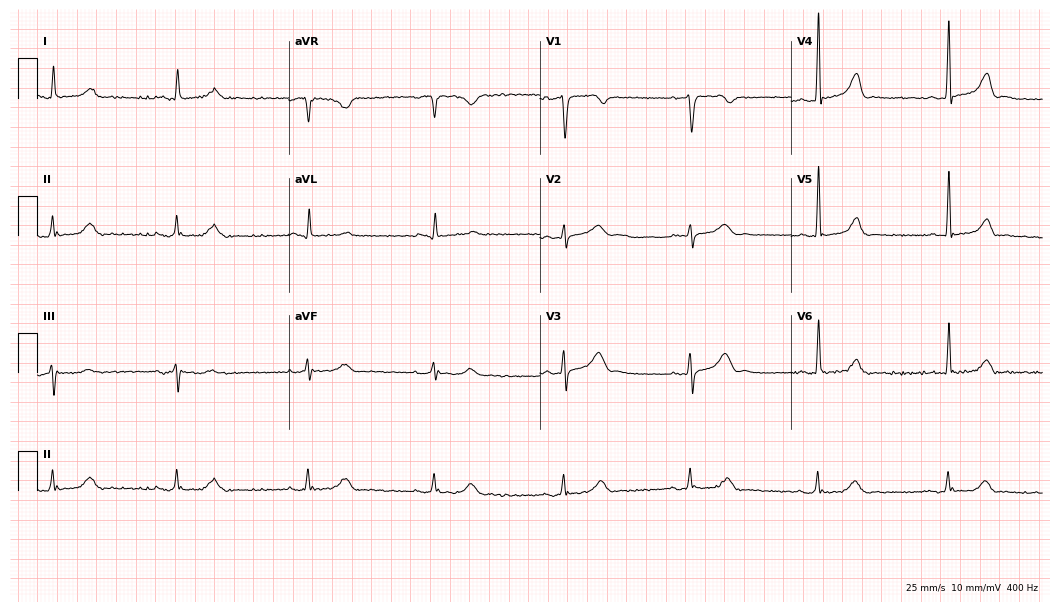
12-lead ECG from a man, 73 years old. Findings include sinus bradycardia (a sinus rate of 50 beats per minute or less).